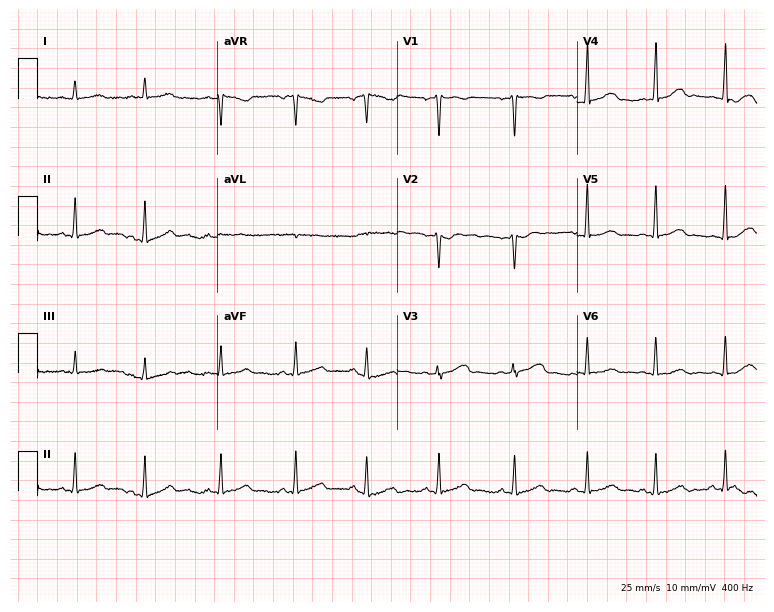
12-lead ECG from a female, 38 years old (7.3-second recording at 400 Hz). No first-degree AV block, right bundle branch block, left bundle branch block, sinus bradycardia, atrial fibrillation or sinus tachycardia recorded for this tracing.